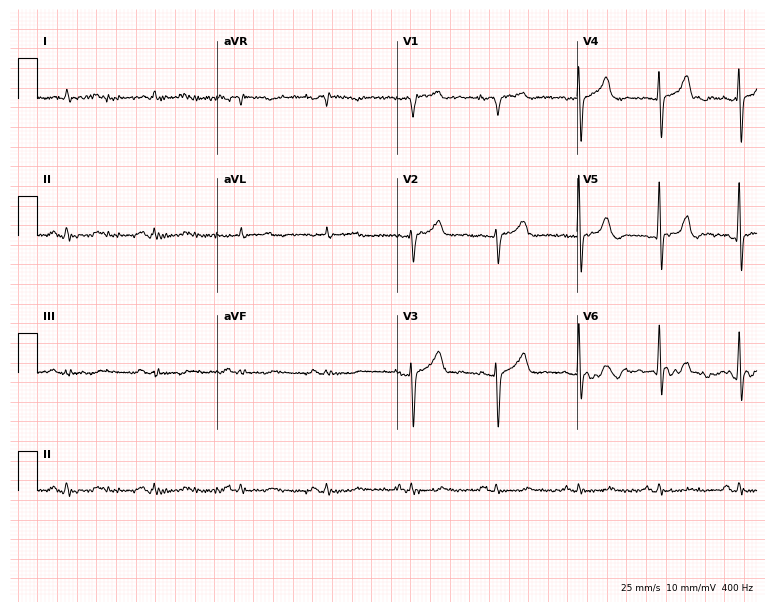
12-lead ECG (7.3-second recording at 400 Hz) from a male, 72 years old. Screened for six findings — first-degree AV block, right bundle branch block, left bundle branch block, sinus bradycardia, atrial fibrillation, sinus tachycardia — none is recorded.